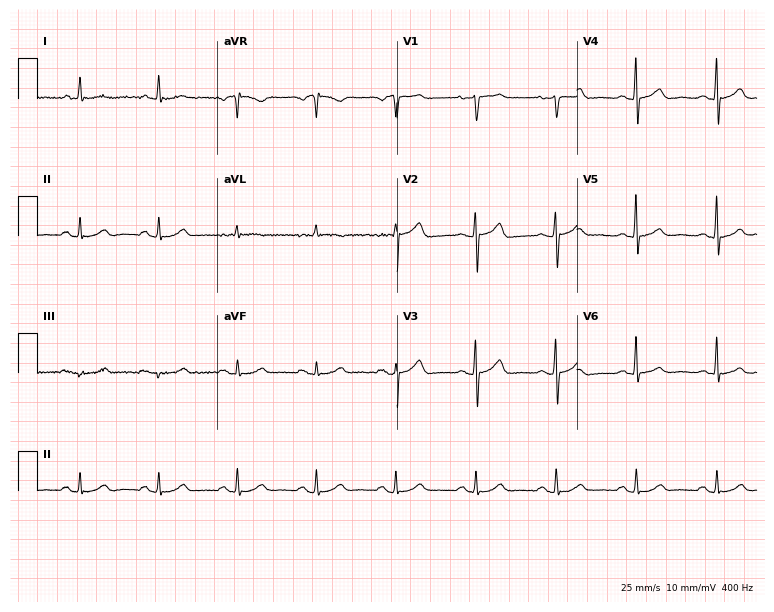
12-lead ECG from a male patient, 71 years old (7.3-second recording at 400 Hz). Recorded interpretation: within normal limits.